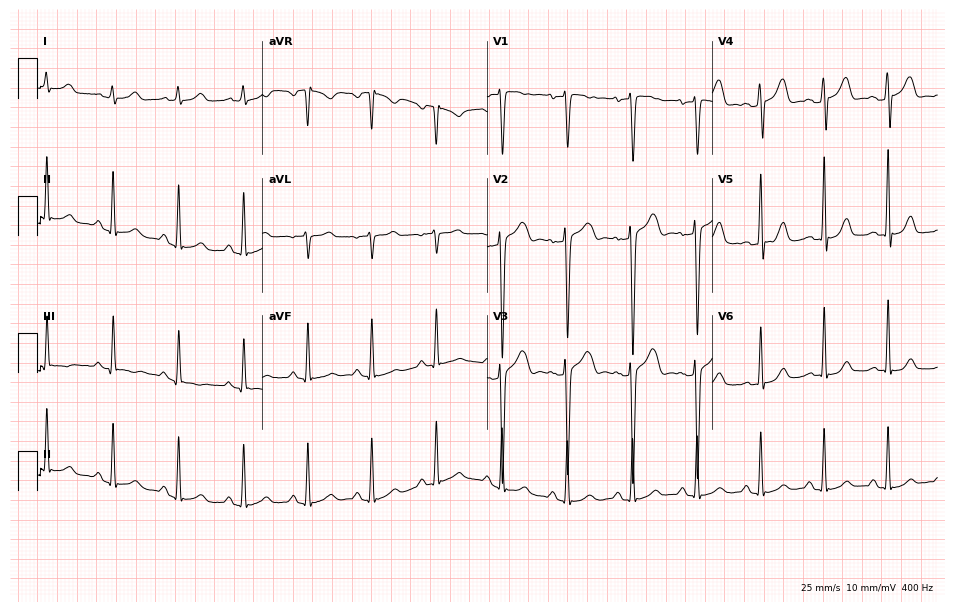
12-lead ECG from a 19-year-old man. Labelled as a normal ECG.